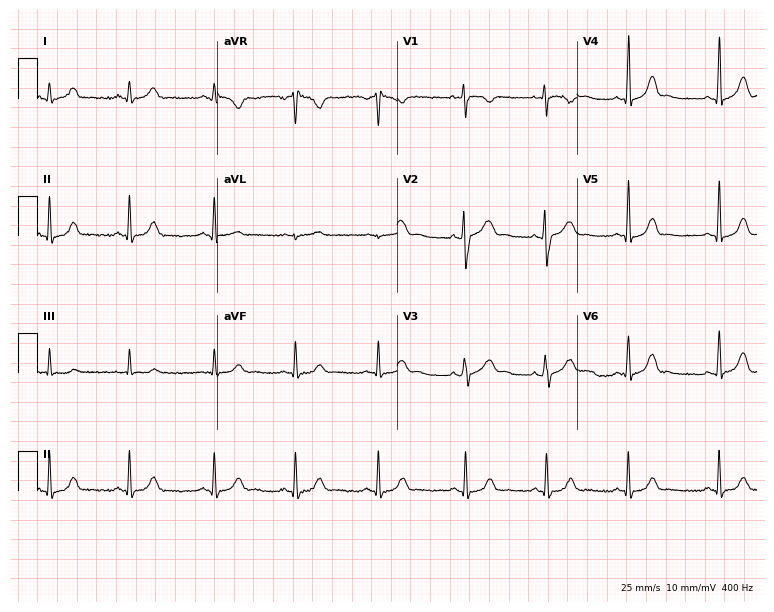
Resting 12-lead electrocardiogram. Patient: a 31-year-old female. Read as a normal ECG.